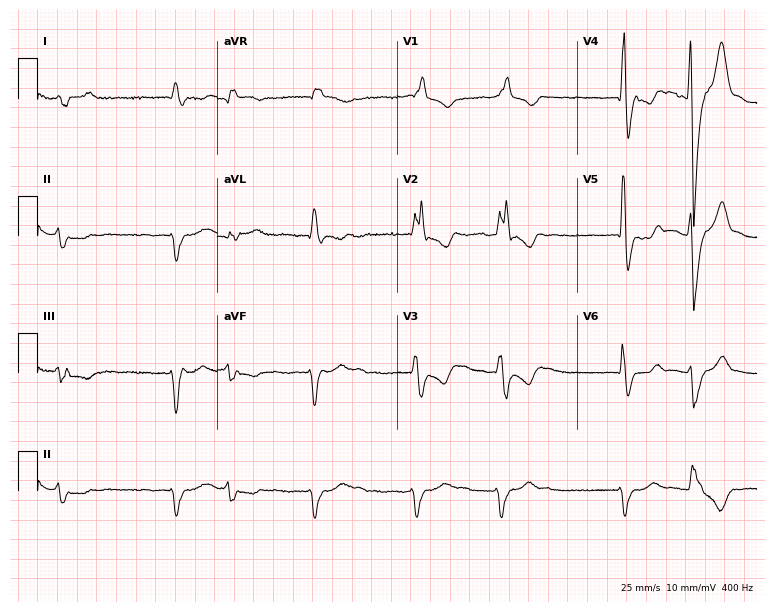
Electrocardiogram (7.3-second recording at 400 Hz), a 72-year-old male. Interpretation includes right bundle branch block (RBBB), atrial fibrillation (AF).